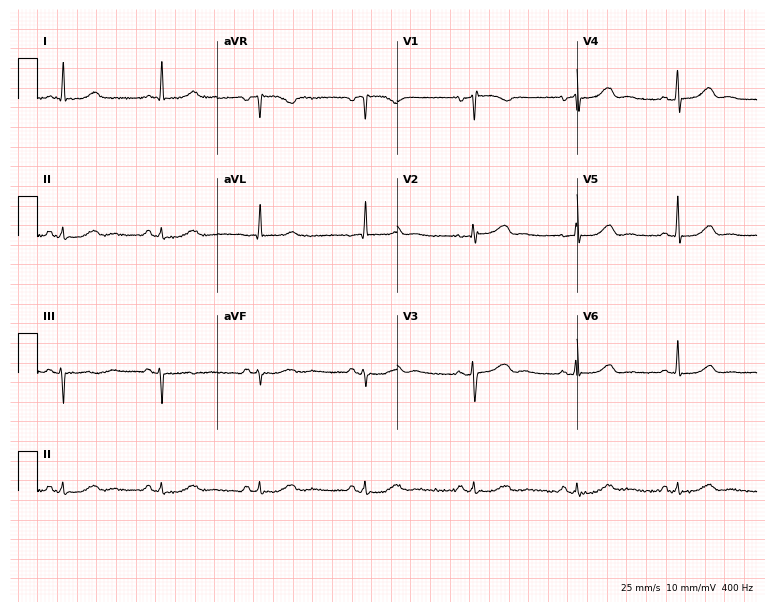
ECG (7.3-second recording at 400 Hz) — a woman, 70 years old. Screened for six findings — first-degree AV block, right bundle branch block, left bundle branch block, sinus bradycardia, atrial fibrillation, sinus tachycardia — none is recorded. Findings outside these six are not listed.